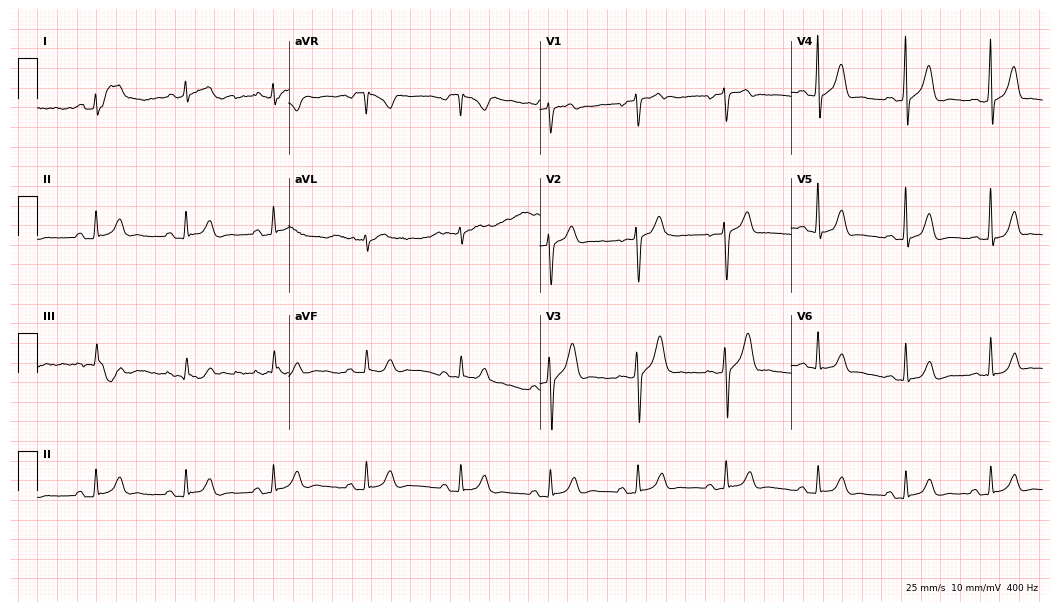
ECG (10.2-second recording at 400 Hz) — a male, 30 years old. Labelled as a normal ECG.